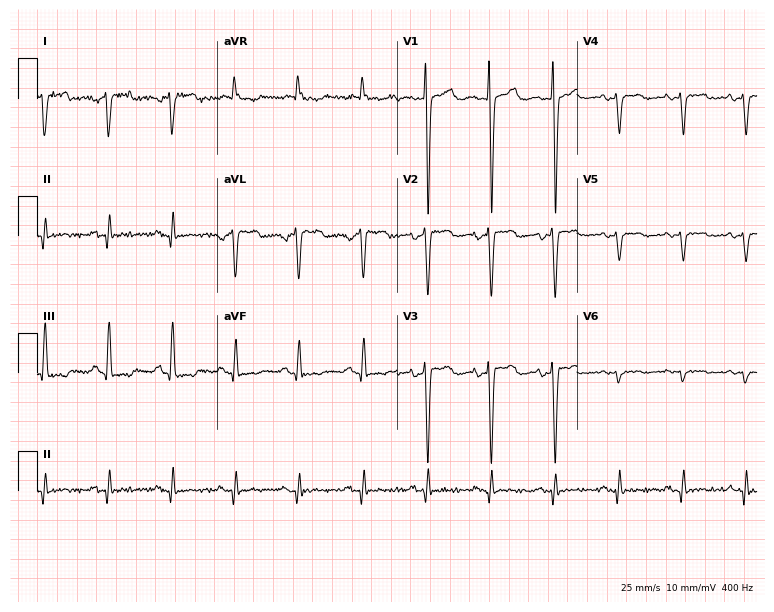
Standard 12-lead ECG recorded from a female, 81 years old (7.3-second recording at 400 Hz). None of these six findings is recorded: first-degree AV block, right bundle branch block, left bundle branch block, sinus bradycardia, atrial fibrillation, sinus tachycardia. Findings outside these six are not listed.